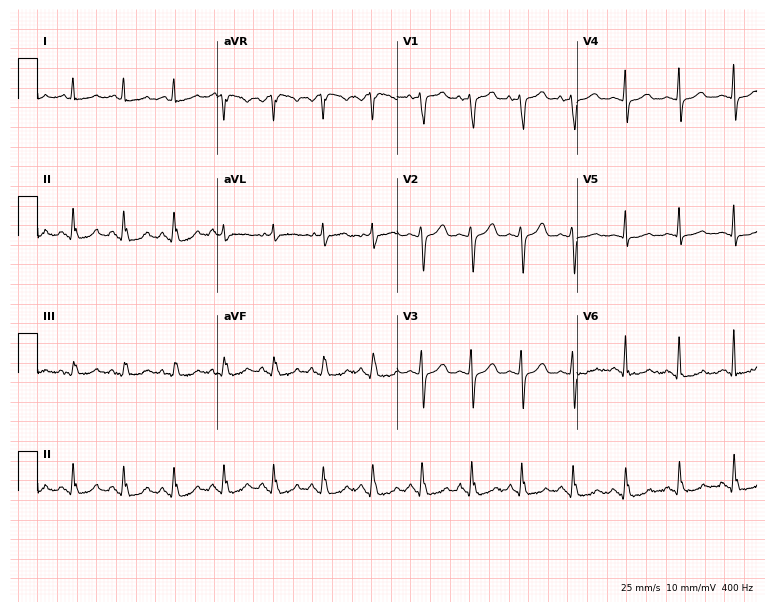
Resting 12-lead electrocardiogram. Patient: a 49-year-old female. The tracing shows sinus tachycardia (a sinus rate of 100 beats per minute or more).